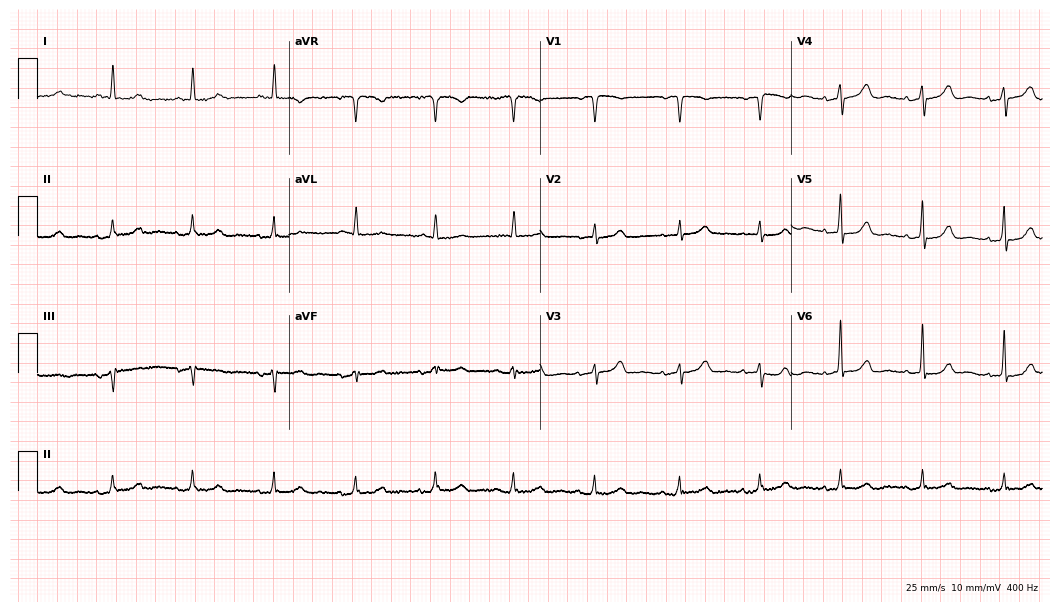
Resting 12-lead electrocardiogram (10.2-second recording at 400 Hz). Patient: a 75-year-old female. None of these six findings is recorded: first-degree AV block, right bundle branch block, left bundle branch block, sinus bradycardia, atrial fibrillation, sinus tachycardia.